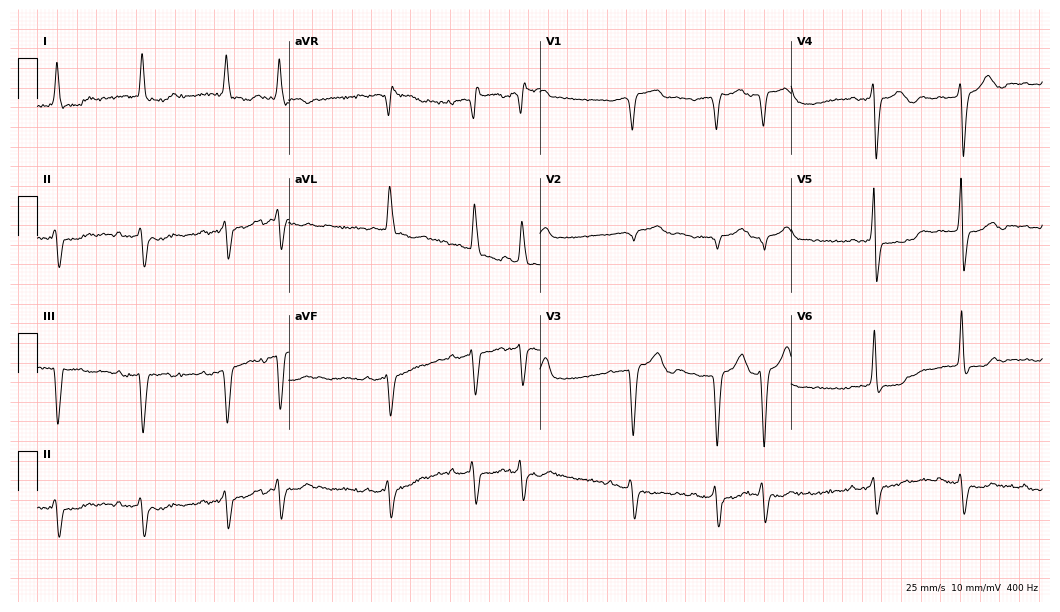
Standard 12-lead ECG recorded from a male patient, 84 years old (10.2-second recording at 400 Hz). The tracing shows atrial fibrillation (AF).